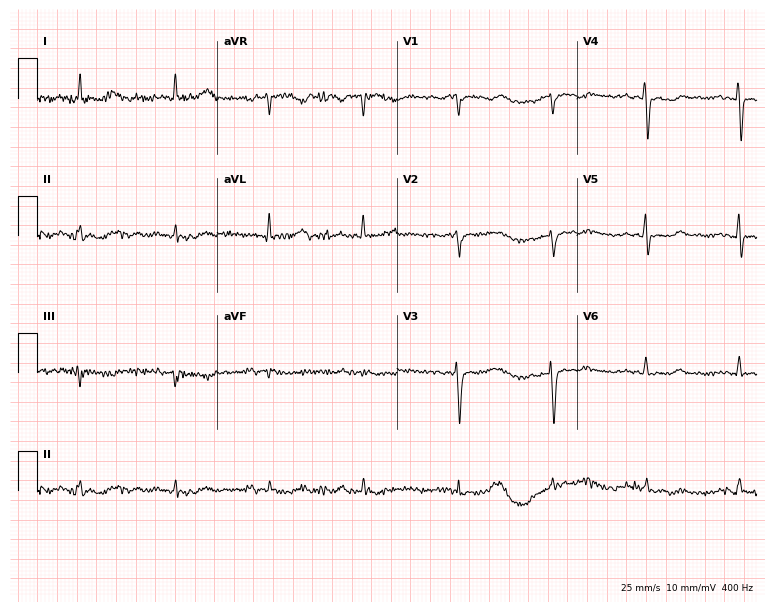
Resting 12-lead electrocardiogram. Patient: a 76-year-old female. None of these six findings is recorded: first-degree AV block, right bundle branch block, left bundle branch block, sinus bradycardia, atrial fibrillation, sinus tachycardia.